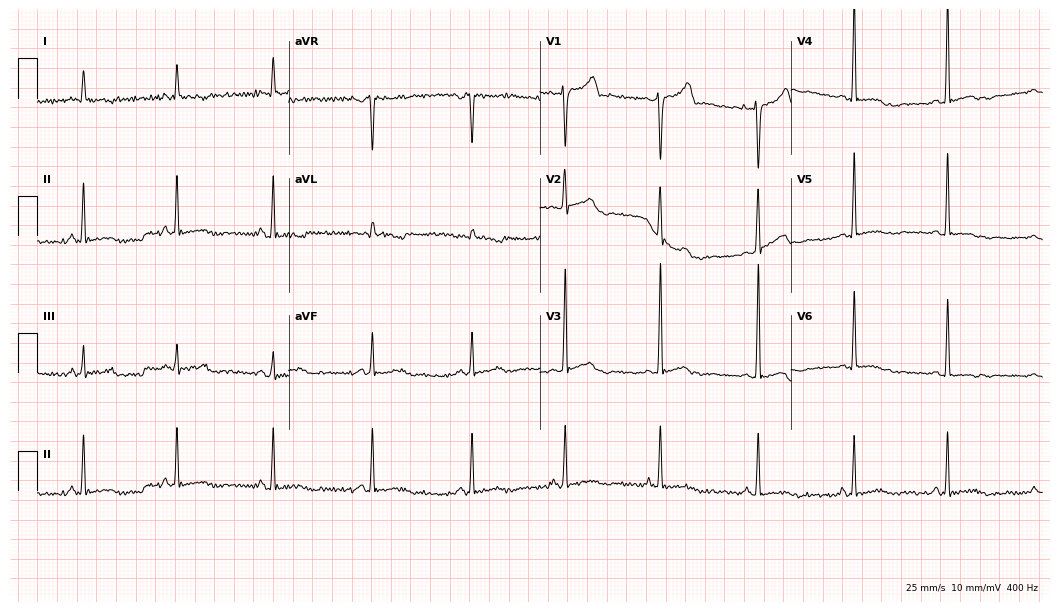
ECG — a 39-year-old man. Screened for six findings — first-degree AV block, right bundle branch block, left bundle branch block, sinus bradycardia, atrial fibrillation, sinus tachycardia — none is recorded. Other findings, if any, are not listed.